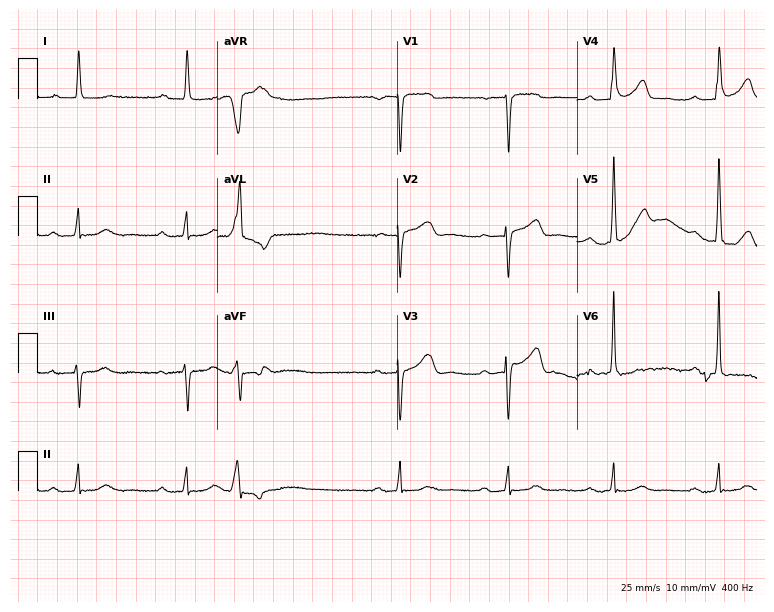
Standard 12-lead ECG recorded from an 83-year-old male patient. The tracing shows first-degree AV block.